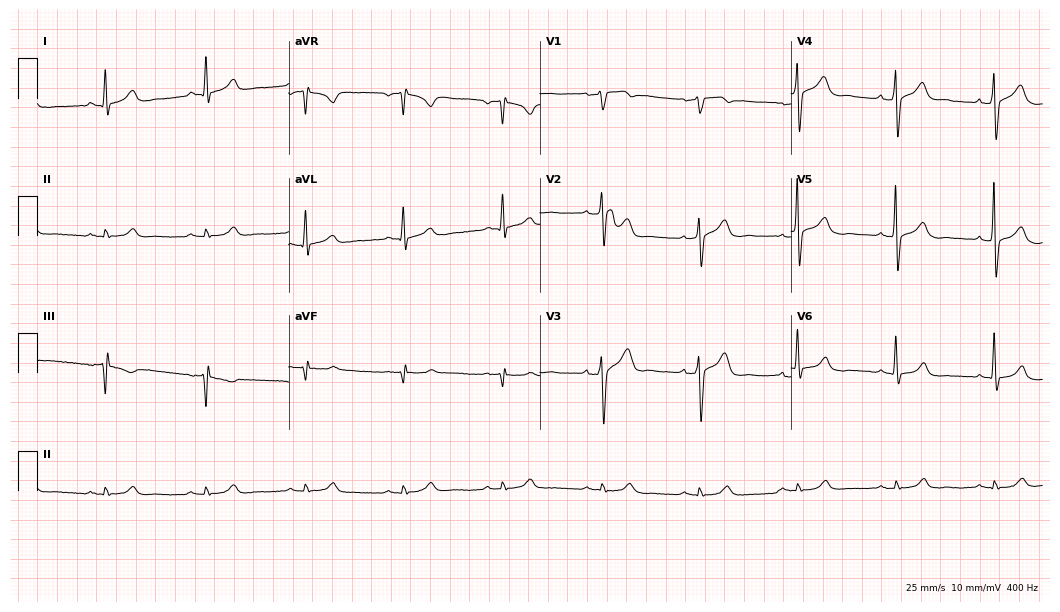
Resting 12-lead electrocardiogram (10.2-second recording at 400 Hz). Patient: a male, 58 years old. None of these six findings is recorded: first-degree AV block, right bundle branch block, left bundle branch block, sinus bradycardia, atrial fibrillation, sinus tachycardia. Findings outside these six are not listed.